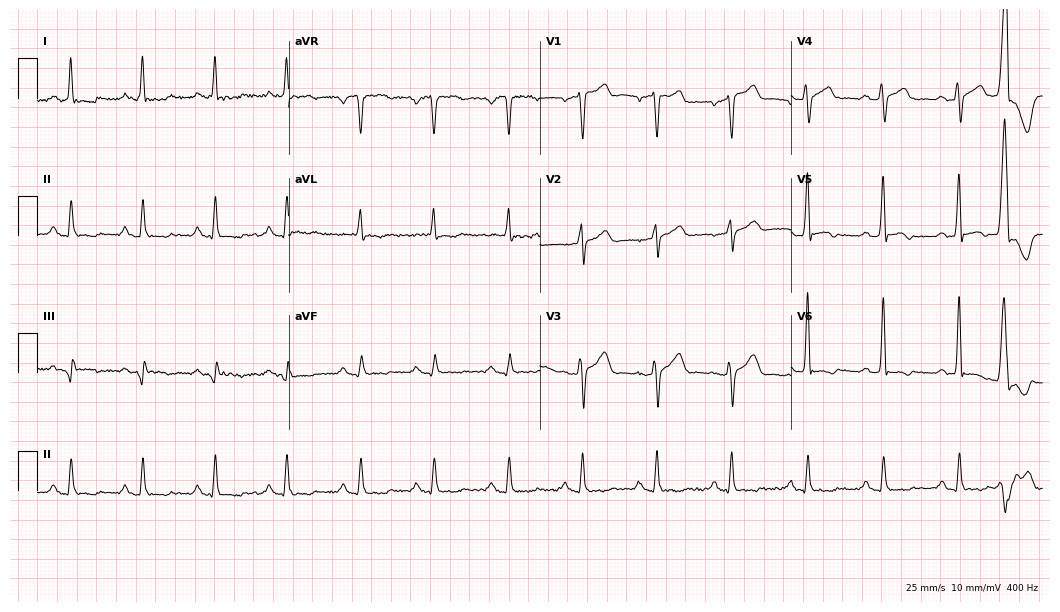
Electrocardiogram, a man, 71 years old. Of the six screened findings (first-degree AV block, right bundle branch block (RBBB), left bundle branch block (LBBB), sinus bradycardia, atrial fibrillation (AF), sinus tachycardia), none is recorded.